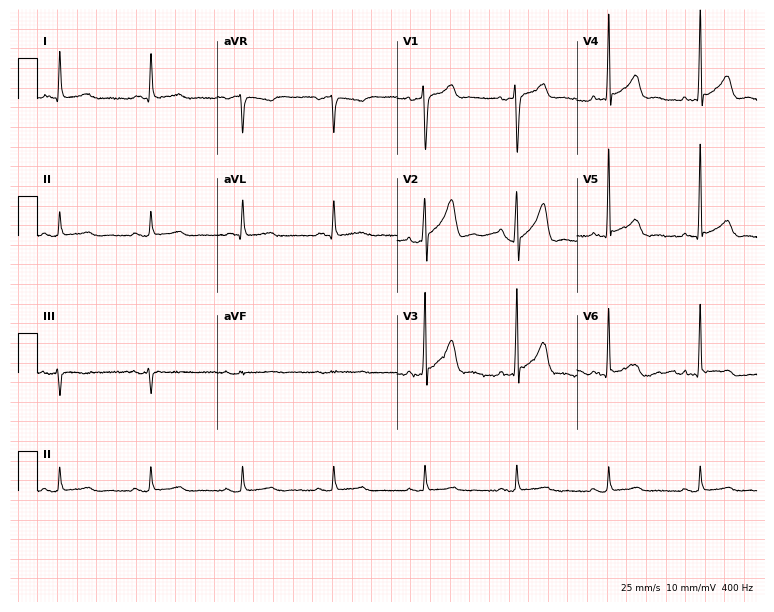
Standard 12-lead ECG recorded from a male, 69 years old (7.3-second recording at 400 Hz). None of these six findings is recorded: first-degree AV block, right bundle branch block (RBBB), left bundle branch block (LBBB), sinus bradycardia, atrial fibrillation (AF), sinus tachycardia. Findings outside these six are not listed.